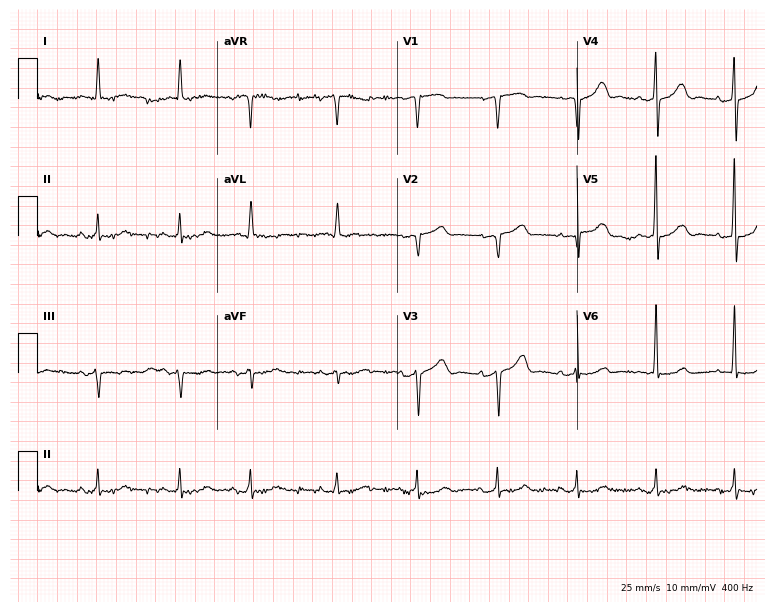
12-lead ECG from an 84-year-old male patient. Labelled as a normal ECG.